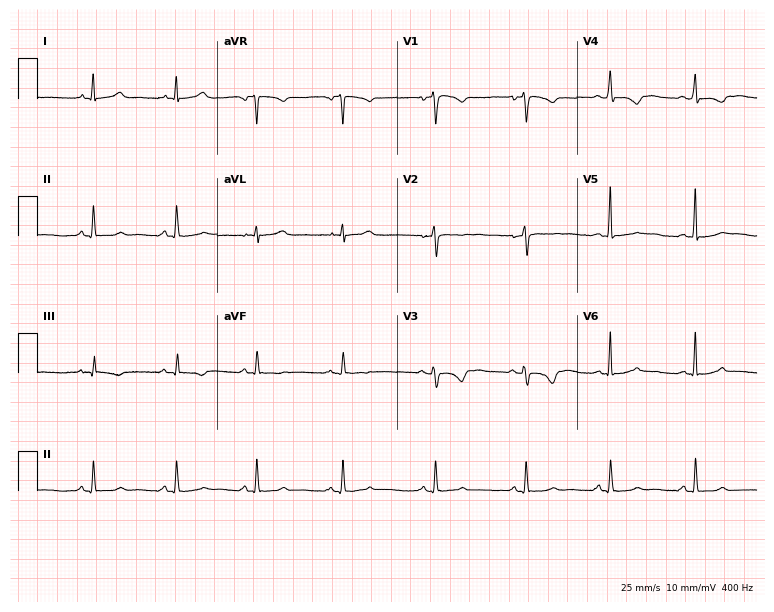
ECG (7.3-second recording at 400 Hz) — a female, 18 years old. Screened for six findings — first-degree AV block, right bundle branch block (RBBB), left bundle branch block (LBBB), sinus bradycardia, atrial fibrillation (AF), sinus tachycardia — none is recorded. Only these six findings were labelled.